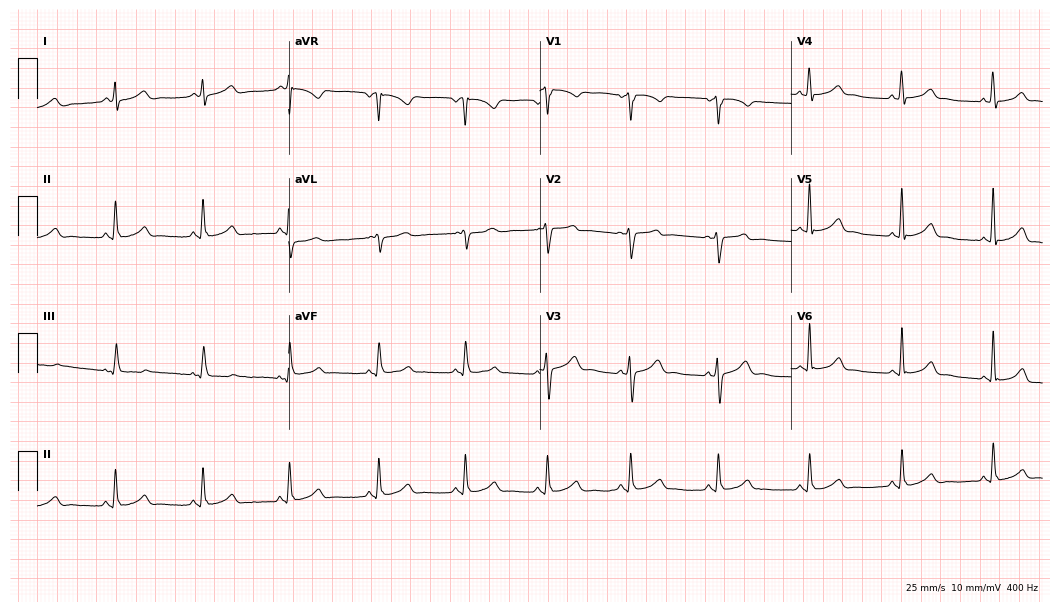
Standard 12-lead ECG recorded from a female, 41 years old (10.2-second recording at 400 Hz). Read as a normal ECG.